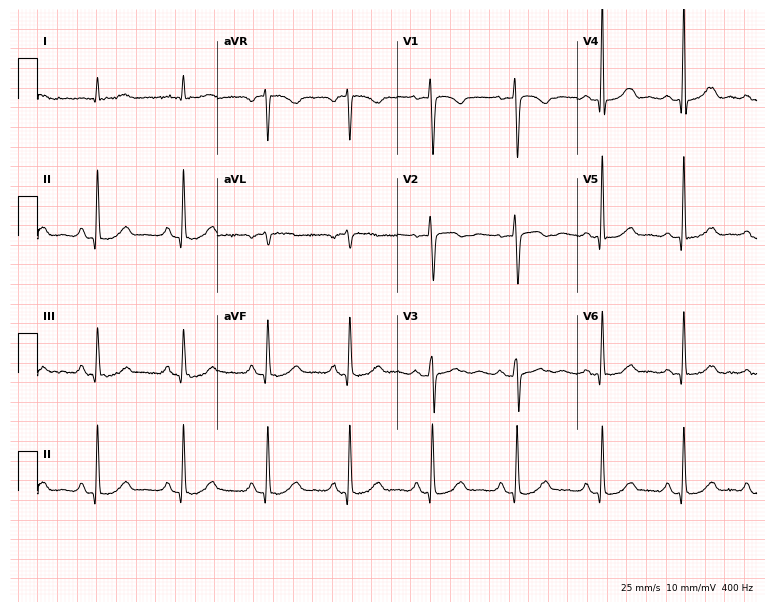
Standard 12-lead ECG recorded from a 66-year-old woman. Read as a normal ECG.